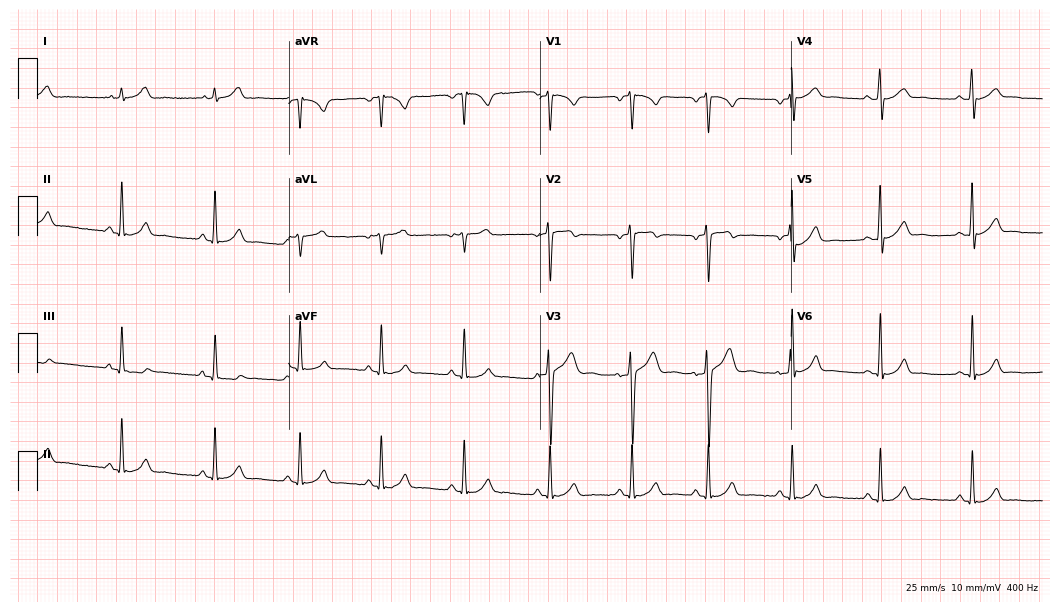
Resting 12-lead electrocardiogram (10.2-second recording at 400 Hz). Patient: a man, 24 years old. Read as a normal ECG.